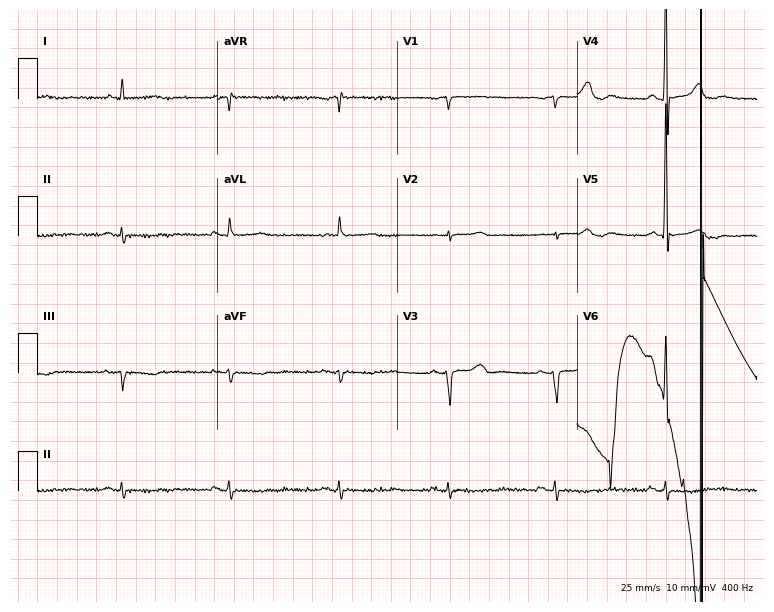
Standard 12-lead ECG recorded from an 84-year-old man. None of these six findings is recorded: first-degree AV block, right bundle branch block (RBBB), left bundle branch block (LBBB), sinus bradycardia, atrial fibrillation (AF), sinus tachycardia. Only these six findings were labelled.